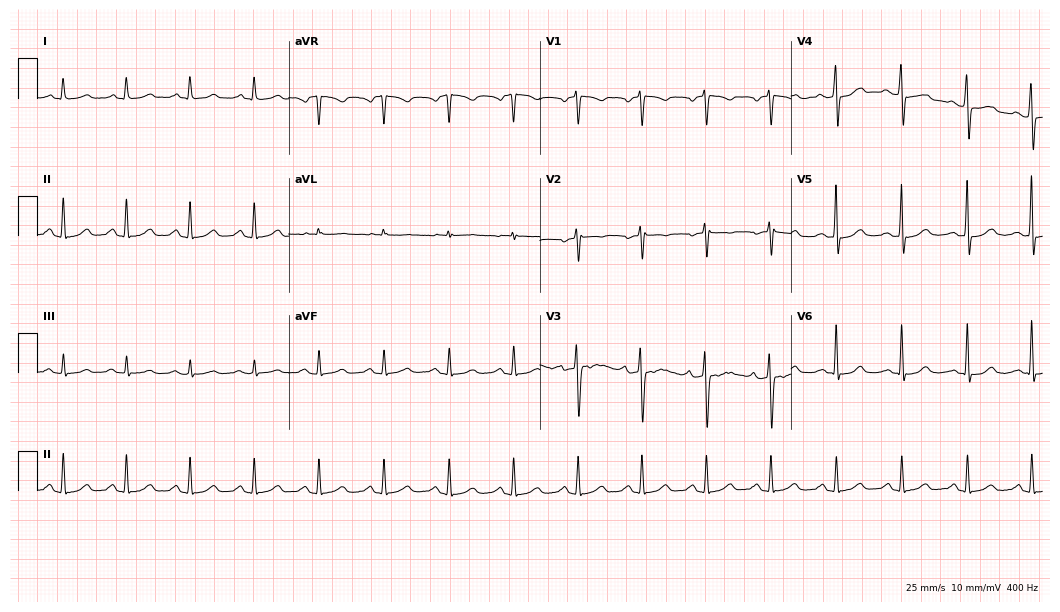
Standard 12-lead ECG recorded from a woman, 55 years old. Read as a normal ECG.